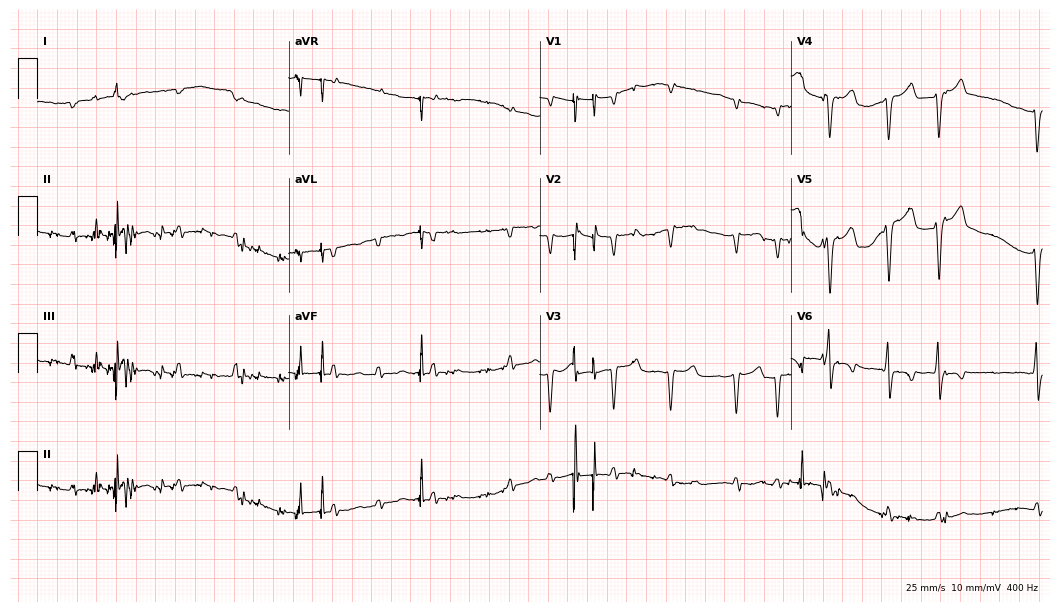
ECG (10.2-second recording at 400 Hz) — a 76-year-old woman. Findings include atrial fibrillation (AF).